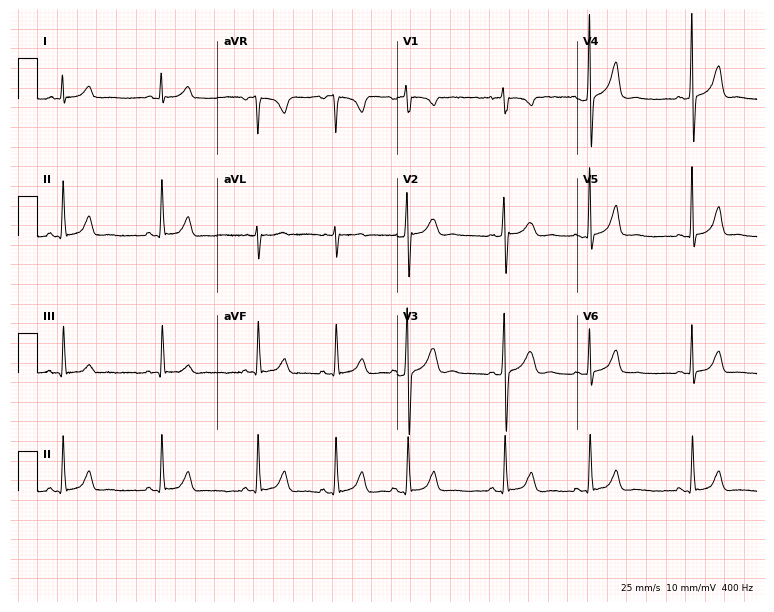
ECG (7.3-second recording at 400 Hz) — a 19-year-old female patient. Labelled as a normal ECG.